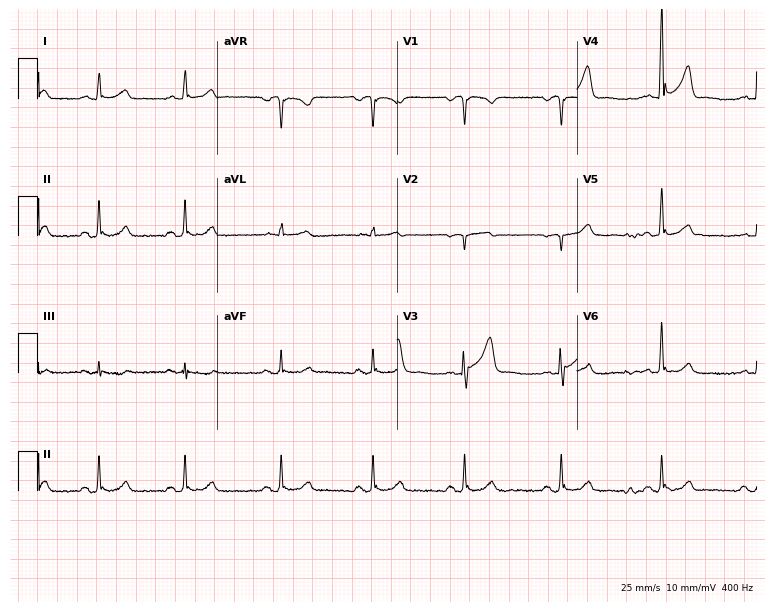
12-lead ECG (7.3-second recording at 400 Hz) from a male patient, 49 years old. Screened for six findings — first-degree AV block, right bundle branch block, left bundle branch block, sinus bradycardia, atrial fibrillation, sinus tachycardia — none is recorded. Other findings, if any, are not listed.